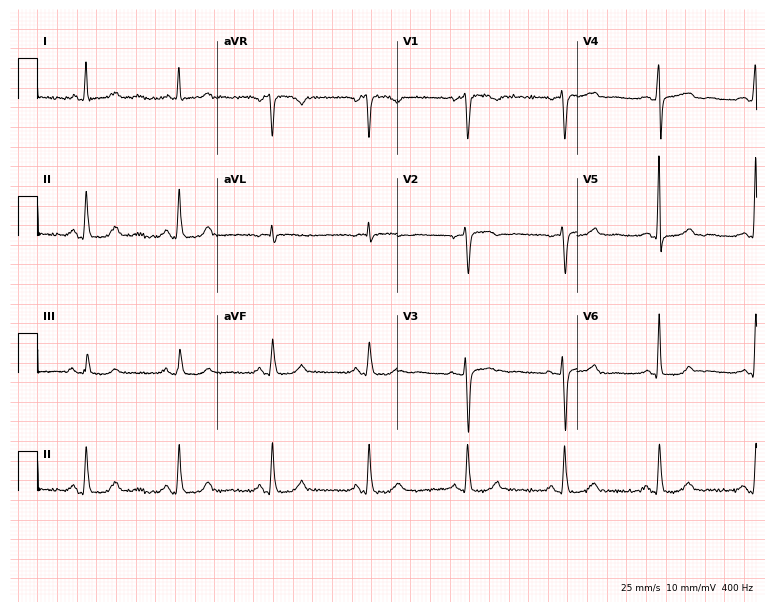
ECG — a female patient, 51 years old. Labelled as a normal ECG.